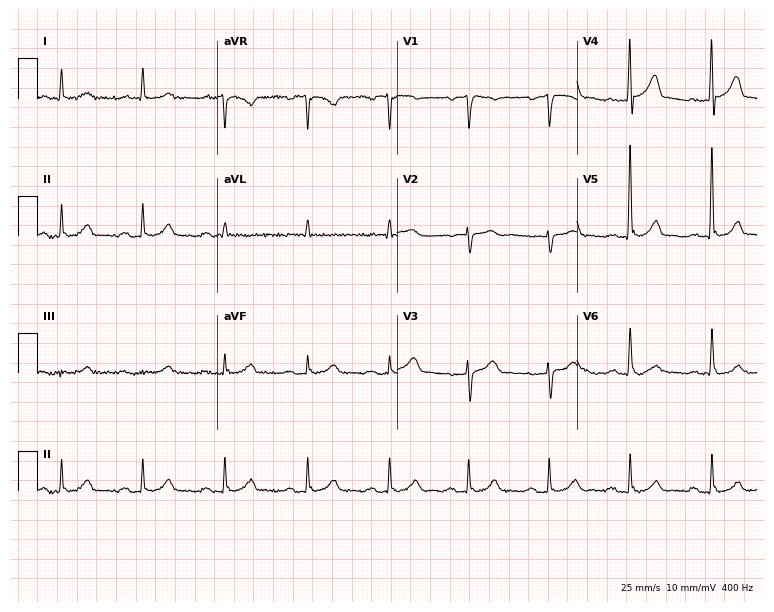
12-lead ECG from a 60-year-old male patient (7.3-second recording at 400 Hz). Recorded interpretation: within normal limits.